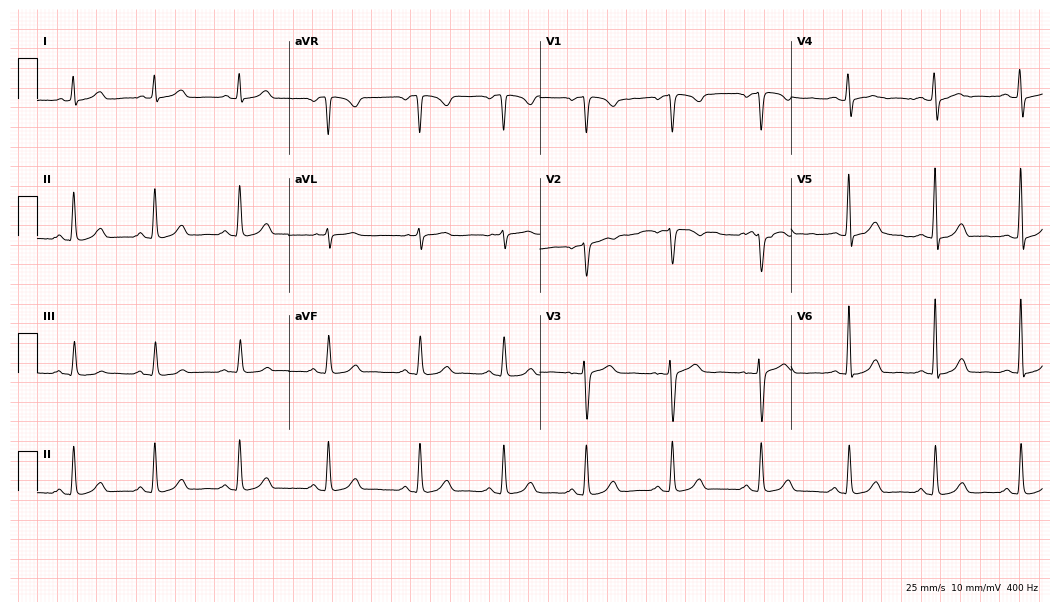
Standard 12-lead ECG recorded from a 33-year-old woman. Read as a normal ECG.